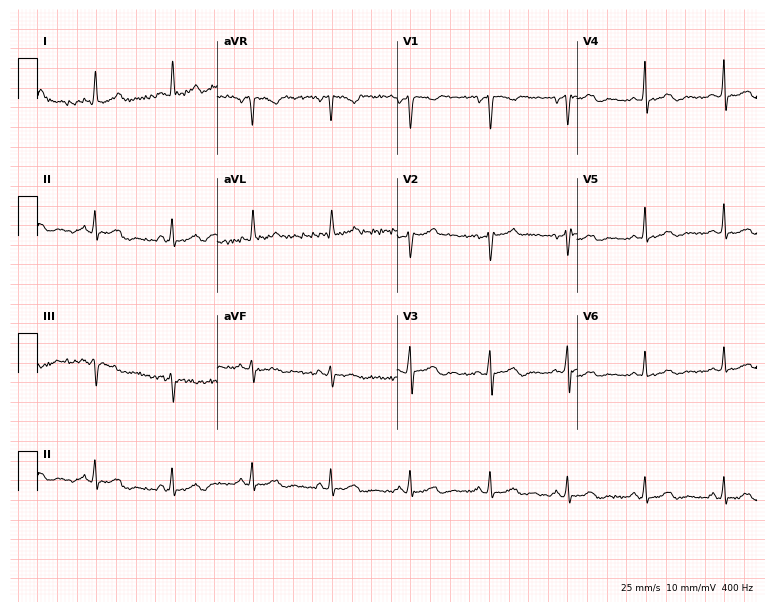
Electrocardiogram (7.3-second recording at 400 Hz), a 34-year-old male. Of the six screened findings (first-degree AV block, right bundle branch block (RBBB), left bundle branch block (LBBB), sinus bradycardia, atrial fibrillation (AF), sinus tachycardia), none is recorded. Only these six findings were labelled.